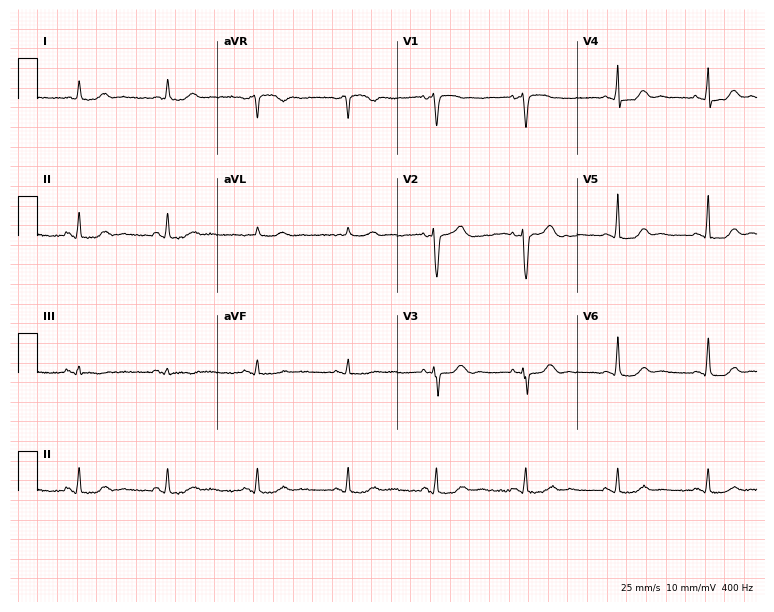
ECG (7.3-second recording at 400 Hz) — a 51-year-old female patient. Labelled as a normal ECG.